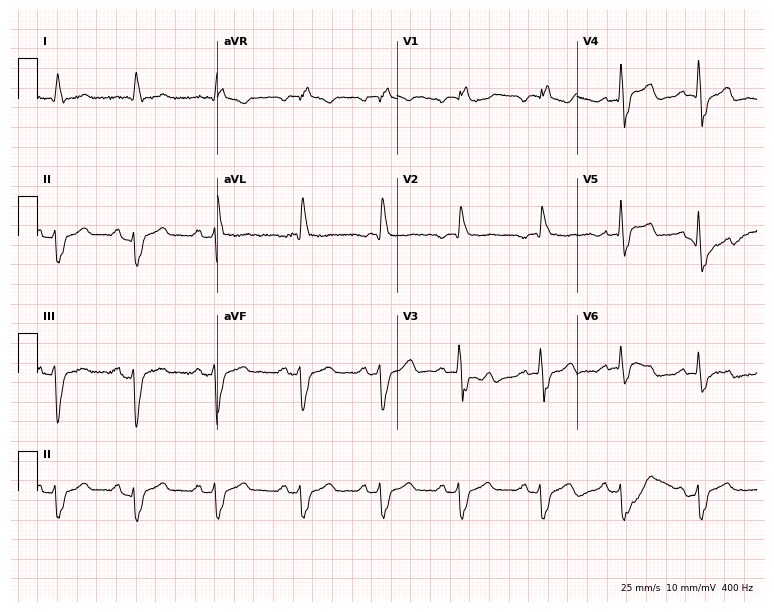
12-lead ECG from a male, 85 years old. Screened for six findings — first-degree AV block, right bundle branch block (RBBB), left bundle branch block (LBBB), sinus bradycardia, atrial fibrillation (AF), sinus tachycardia — none is recorded. Findings outside these six are not listed.